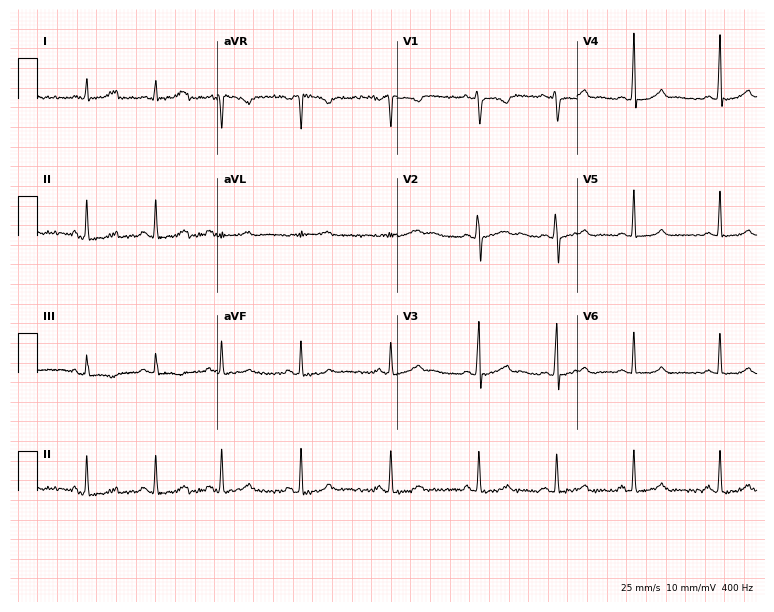
Standard 12-lead ECG recorded from a female patient, 22 years old (7.3-second recording at 400 Hz). None of these six findings is recorded: first-degree AV block, right bundle branch block (RBBB), left bundle branch block (LBBB), sinus bradycardia, atrial fibrillation (AF), sinus tachycardia. Findings outside these six are not listed.